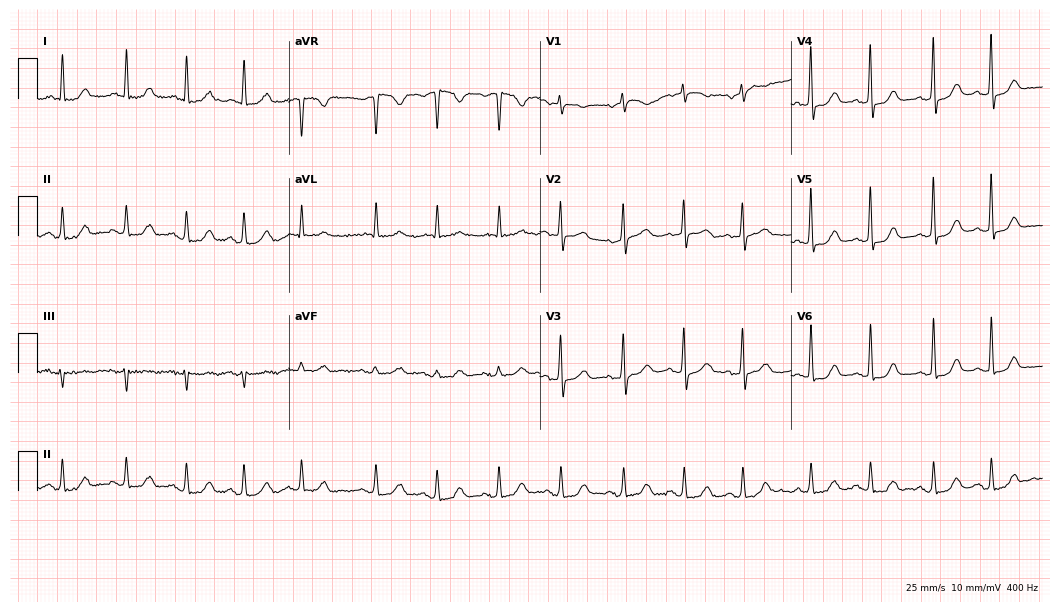
12-lead ECG (10.2-second recording at 400 Hz) from a woman, 77 years old. Labelled as a normal ECG.